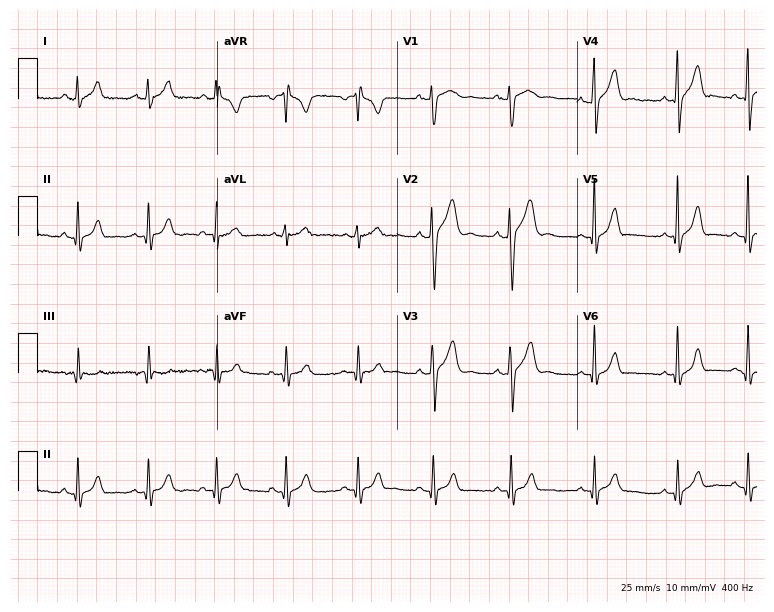
Resting 12-lead electrocardiogram. Patient: a male, 24 years old. None of these six findings is recorded: first-degree AV block, right bundle branch block, left bundle branch block, sinus bradycardia, atrial fibrillation, sinus tachycardia. Findings outside these six are not listed.